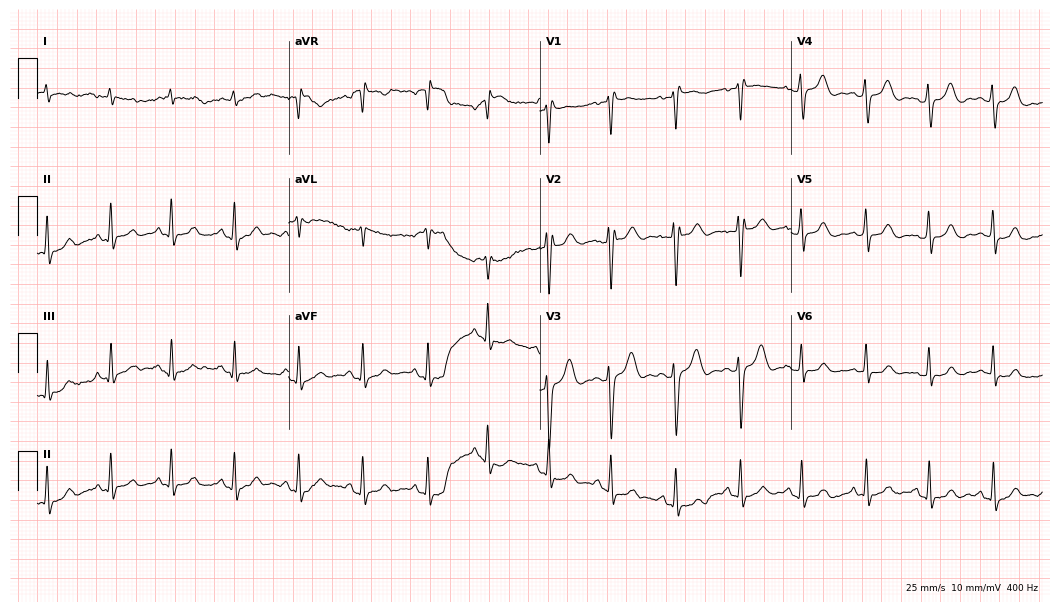
Resting 12-lead electrocardiogram. Patient: a 36-year-old female. None of these six findings is recorded: first-degree AV block, right bundle branch block (RBBB), left bundle branch block (LBBB), sinus bradycardia, atrial fibrillation (AF), sinus tachycardia.